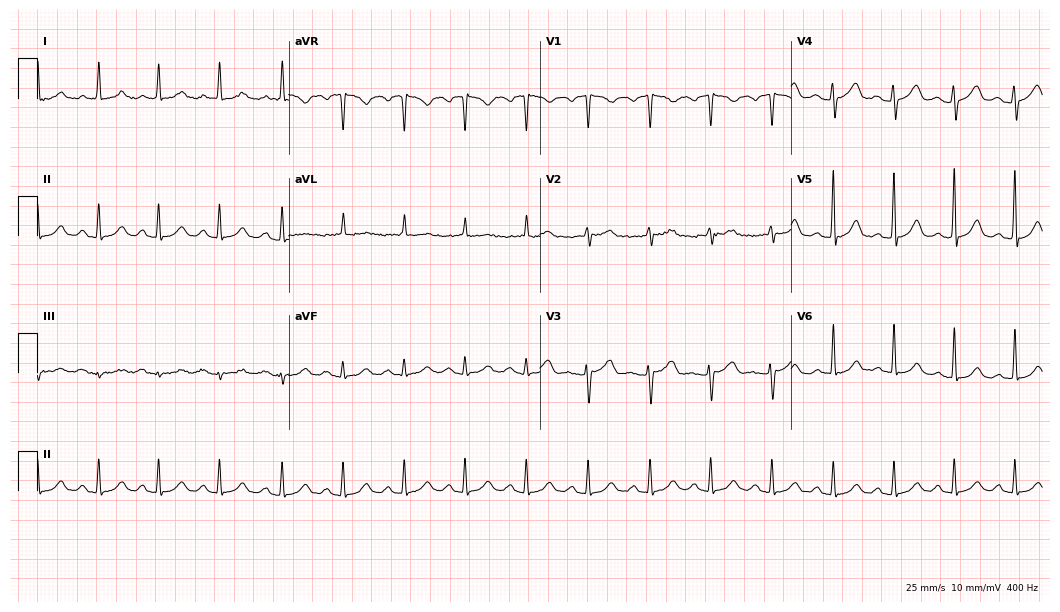
12-lead ECG from a female, 75 years old. Screened for six findings — first-degree AV block, right bundle branch block, left bundle branch block, sinus bradycardia, atrial fibrillation, sinus tachycardia — none is recorded.